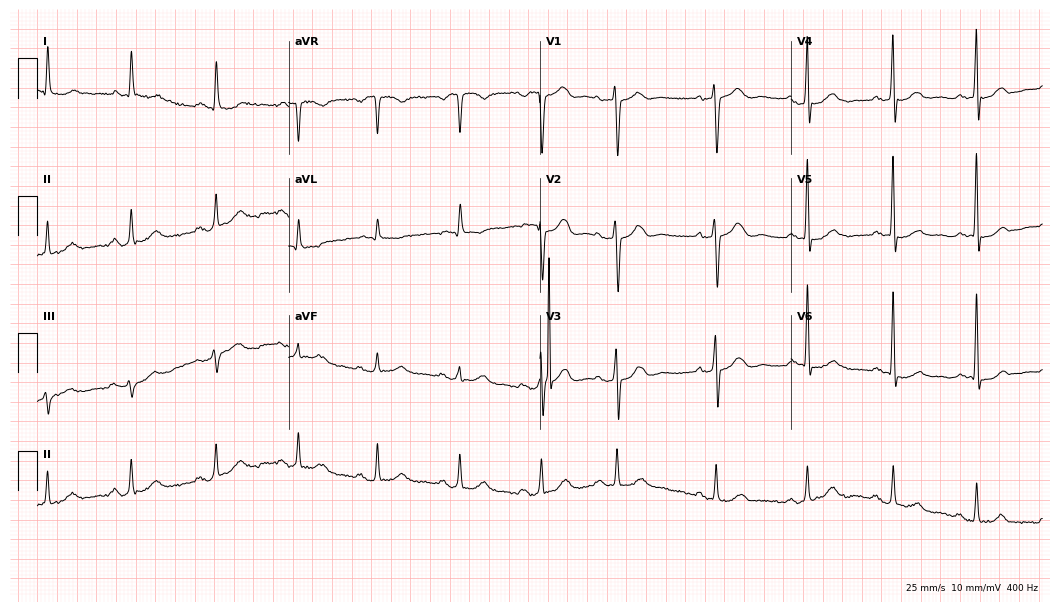
ECG (10.2-second recording at 400 Hz) — an 80-year-old woman. Screened for six findings — first-degree AV block, right bundle branch block (RBBB), left bundle branch block (LBBB), sinus bradycardia, atrial fibrillation (AF), sinus tachycardia — none is recorded.